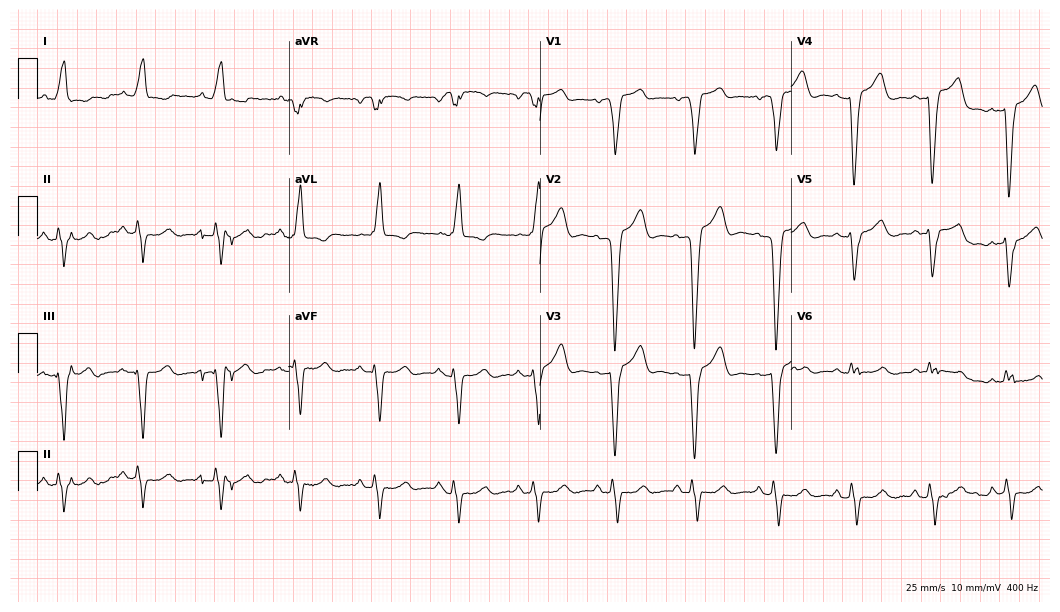
Standard 12-lead ECG recorded from a 65-year-old woman. The tracing shows left bundle branch block.